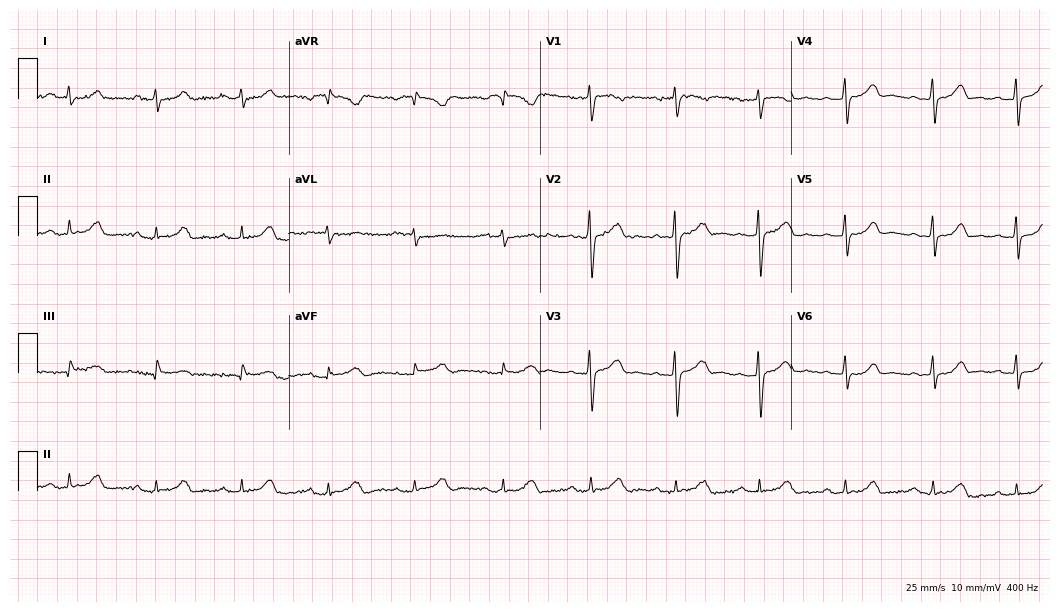
ECG (10.2-second recording at 400 Hz) — a female patient, 29 years old. Labelled as a normal ECG.